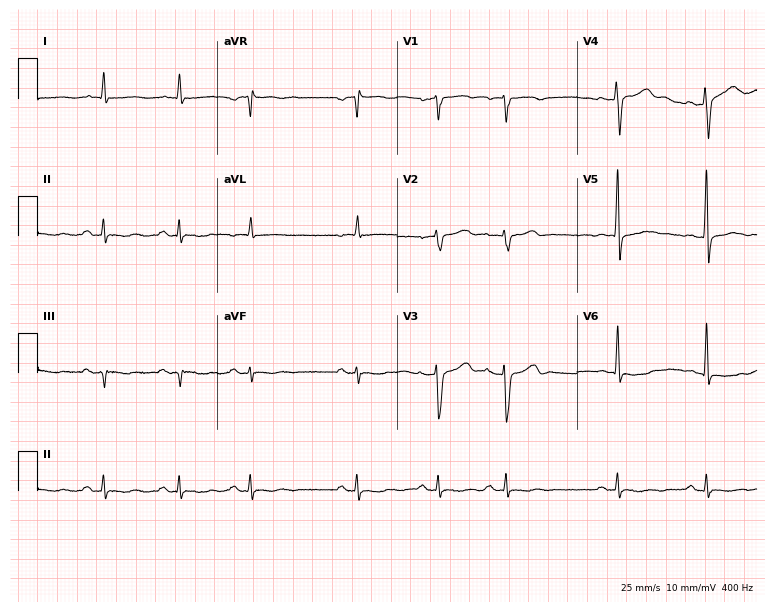
ECG — an 80-year-old man. Screened for six findings — first-degree AV block, right bundle branch block, left bundle branch block, sinus bradycardia, atrial fibrillation, sinus tachycardia — none is recorded. Findings outside these six are not listed.